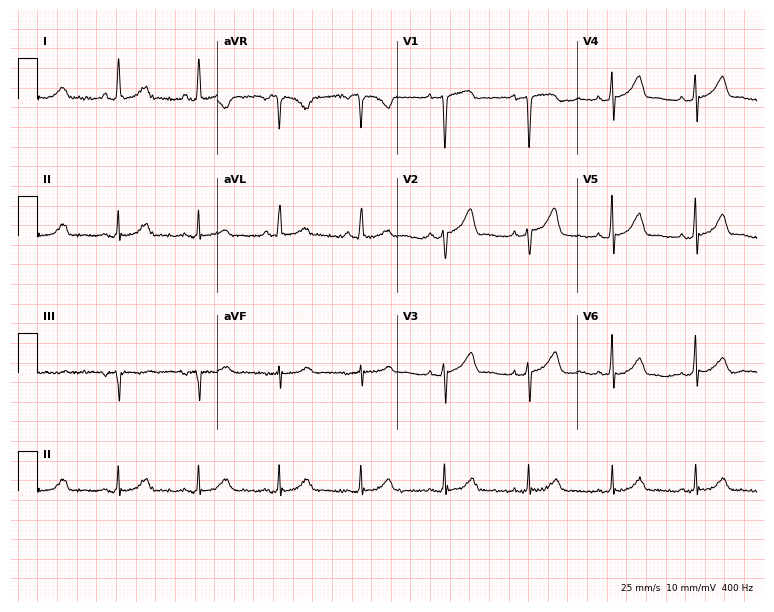
12-lead ECG from a 51-year-old woman. No first-degree AV block, right bundle branch block, left bundle branch block, sinus bradycardia, atrial fibrillation or sinus tachycardia recorded for this tracing.